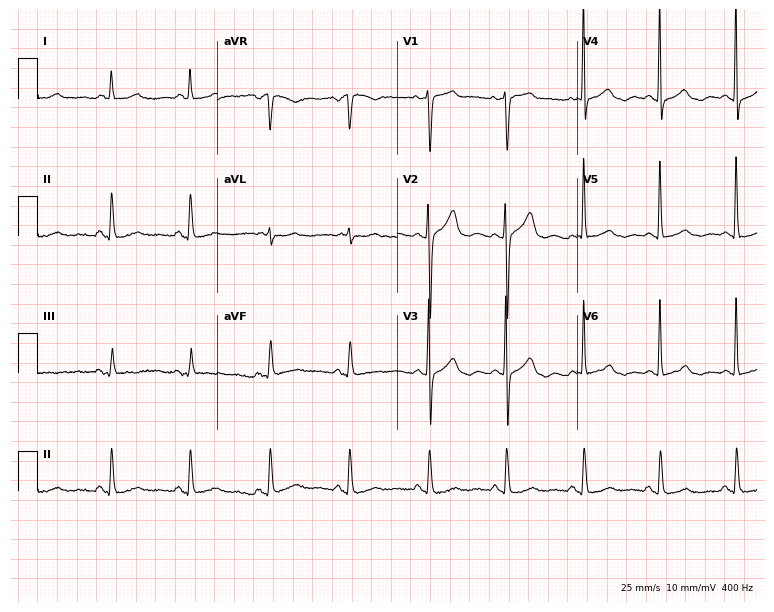
Electrocardiogram, a female, 60 years old. Of the six screened findings (first-degree AV block, right bundle branch block (RBBB), left bundle branch block (LBBB), sinus bradycardia, atrial fibrillation (AF), sinus tachycardia), none is recorded.